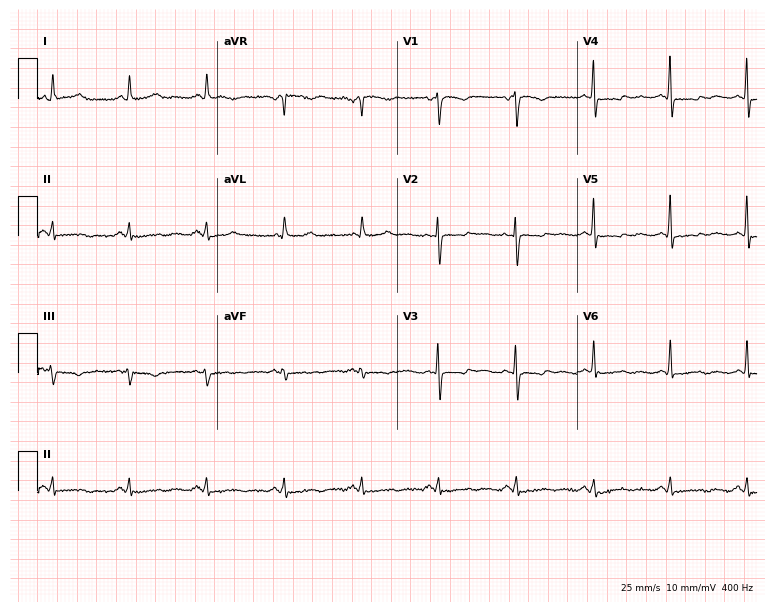
Resting 12-lead electrocardiogram. Patient: a 79-year-old female. None of these six findings is recorded: first-degree AV block, right bundle branch block, left bundle branch block, sinus bradycardia, atrial fibrillation, sinus tachycardia. Other findings, if any, are not listed.